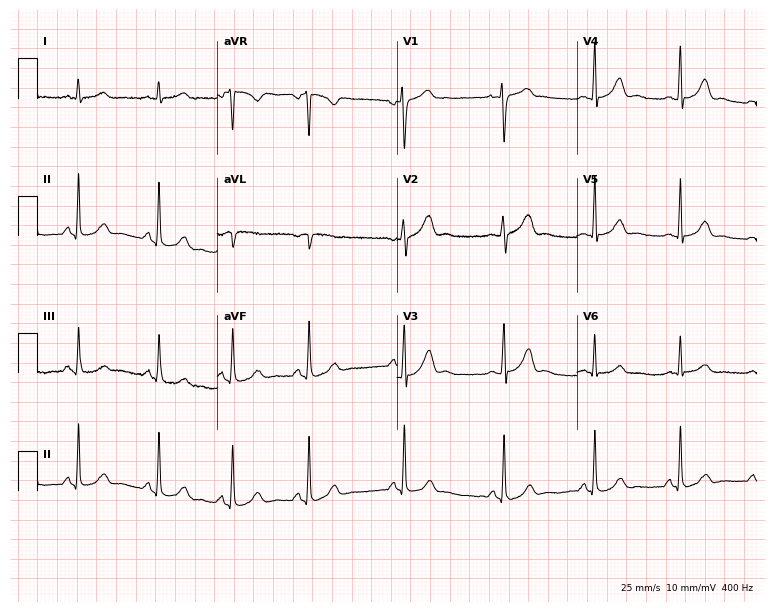
ECG — a female patient, 36 years old. Screened for six findings — first-degree AV block, right bundle branch block, left bundle branch block, sinus bradycardia, atrial fibrillation, sinus tachycardia — none is recorded.